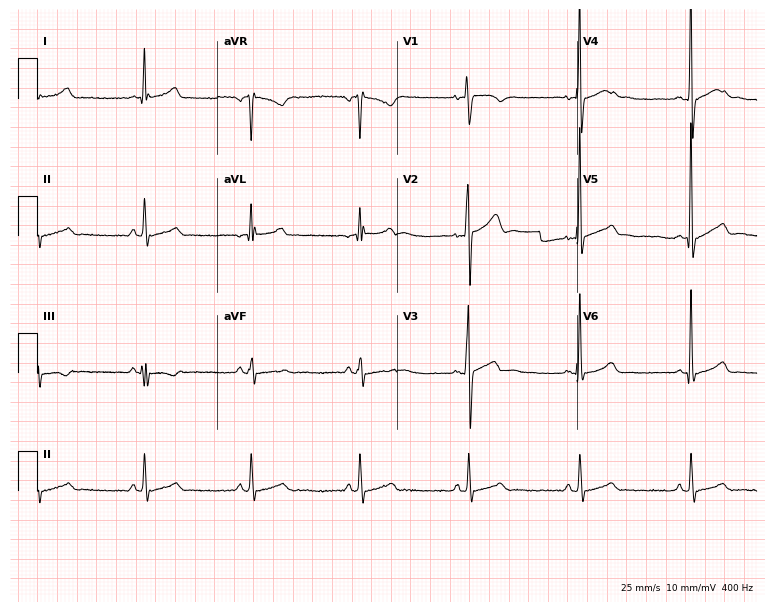
Standard 12-lead ECG recorded from a 39-year-old male patient (7.3-second recording at 400 Hz). Read as a normal ECG.